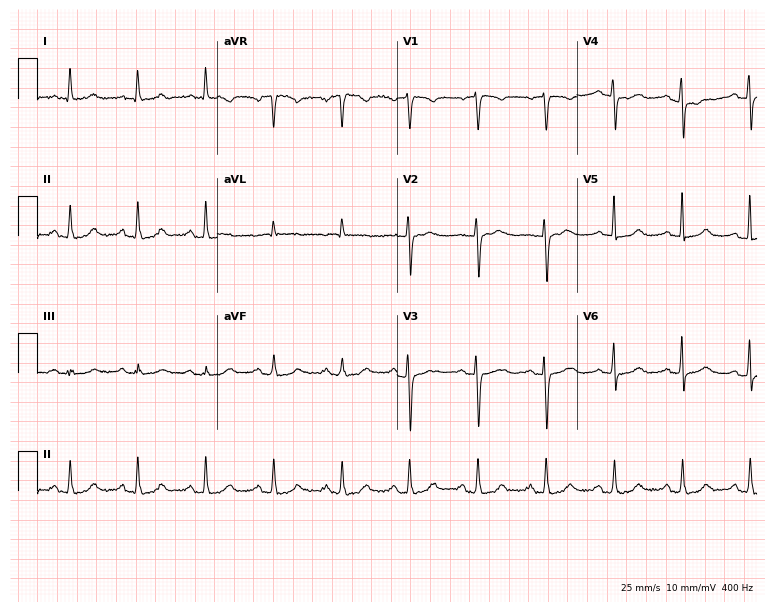
Electrocardiogram (7.3-second recording at 400 Hz), a female patient, 77 years old. Overall reading on record: normal ECG.